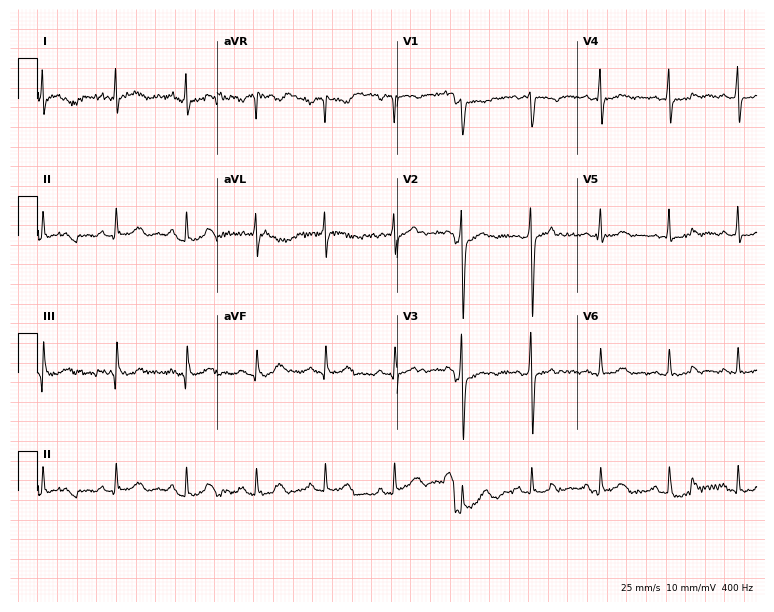
12-lead ECG from a 33-year-old male. Labelled as a normal ECG.